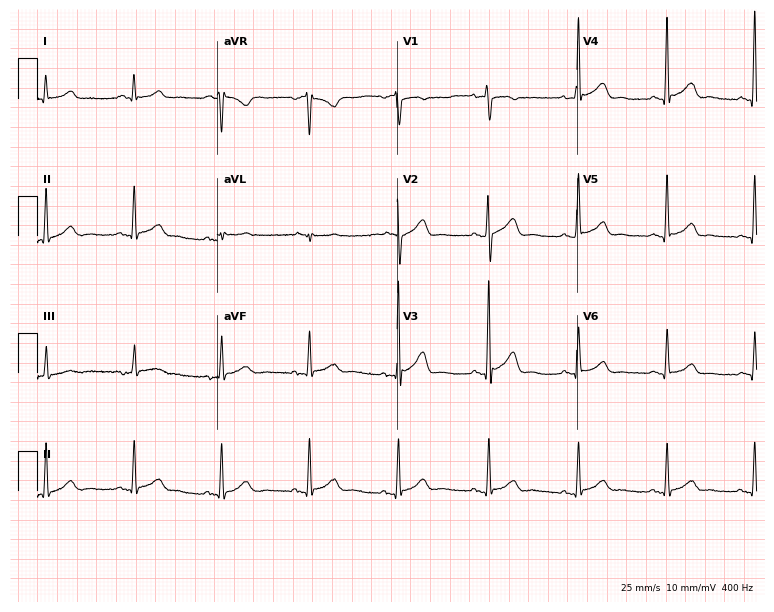
12-lead ECG from a 68-year-old man. Labelled as a normal ECG.